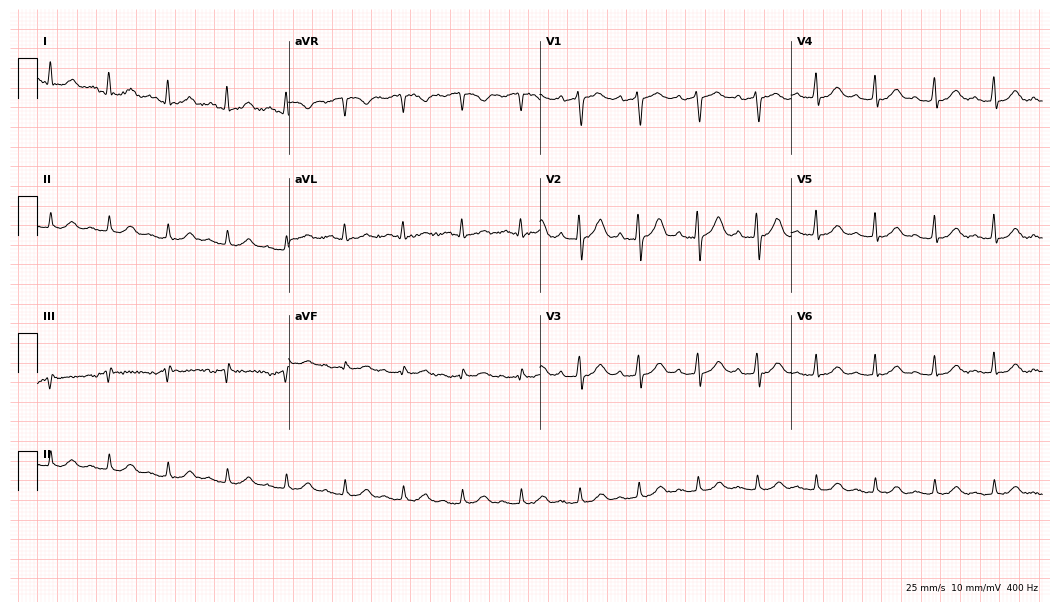
ECG (10.2-second recording at 400 Hz) — a woman, 71 years old. Findings include sinus tachycardia (a sinus rate of 100 beats per minute or more).